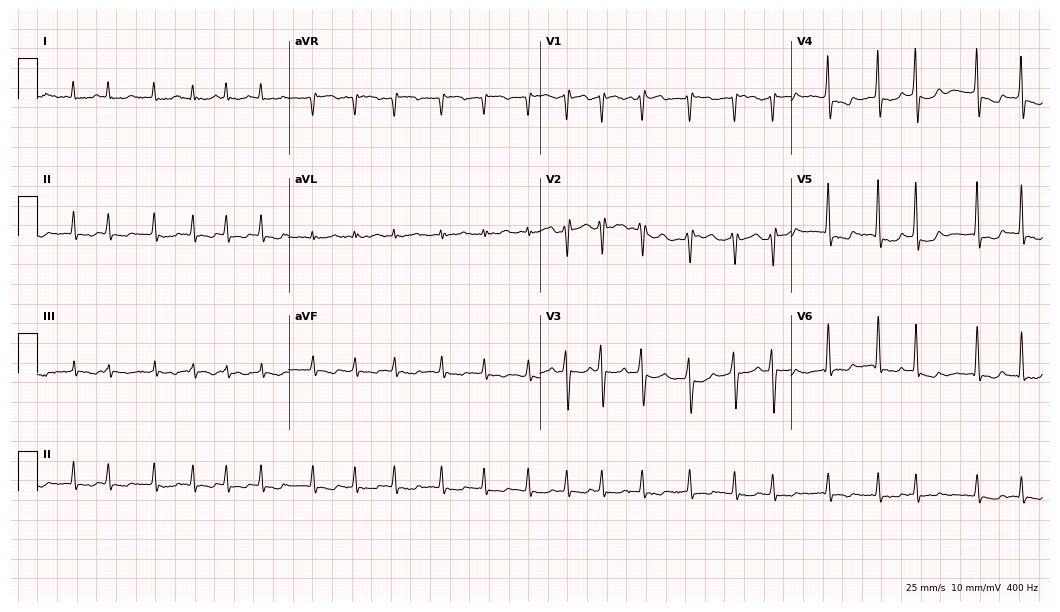
12-lead ECG from a male patient, 72 years old. Shows atrial fibrillation.